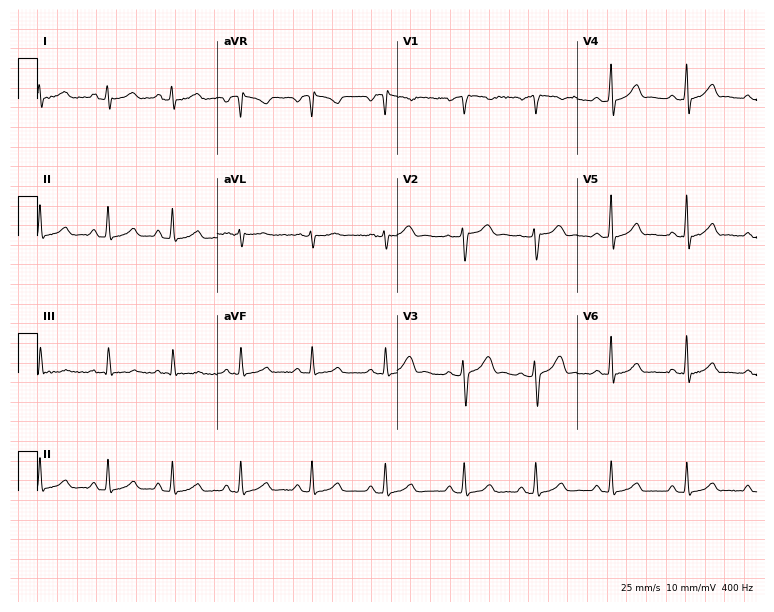
Electrocardiogram (7.3-second recording at 400 Hz), a 24-year-old woman. Of the six screened findings (first-degree AV block, right bundle branch block (RBBB), left bundle branch block (LBBB), sinus bradycardia, atrial fibrillation (AF), sinus tachycardia), none is recorded.